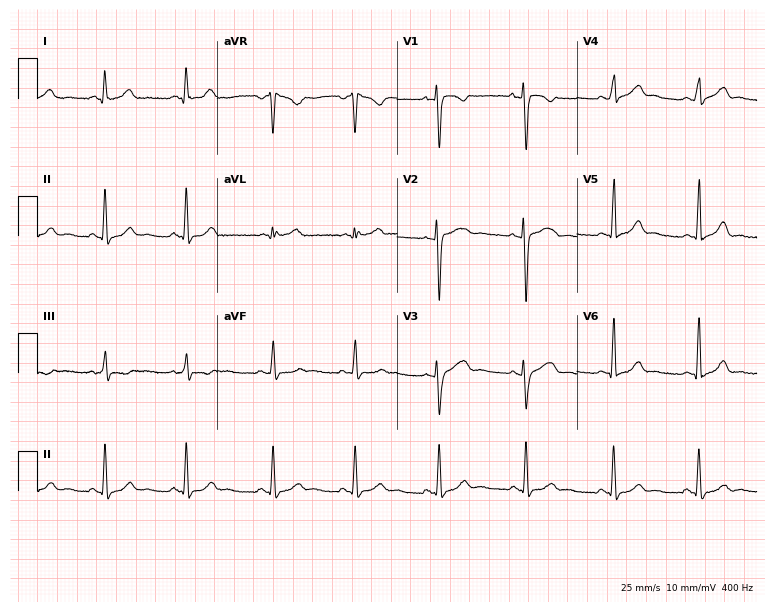
Standard 12-lead ECG recorded from a female patient, 22 years old. None of these six findings is recorded: first-degree AV block, right bundle branch block, left bundle branch block, sinus bradycardia, atrial fibrillation, sinus tachycardia.